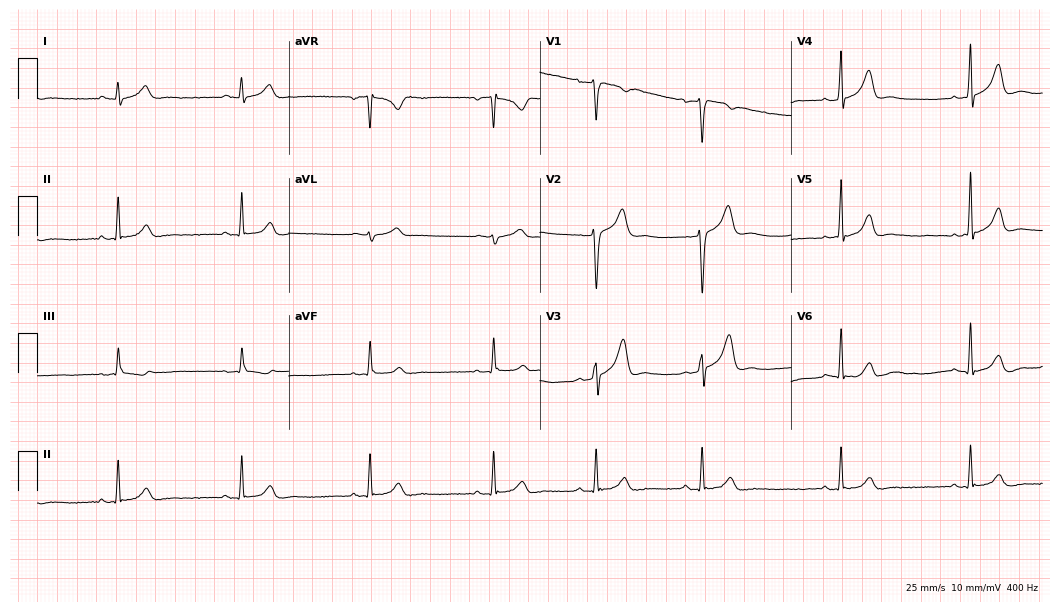
Electrocardiogram, a 29-year-old man. Overall reading on record: normal ECG.